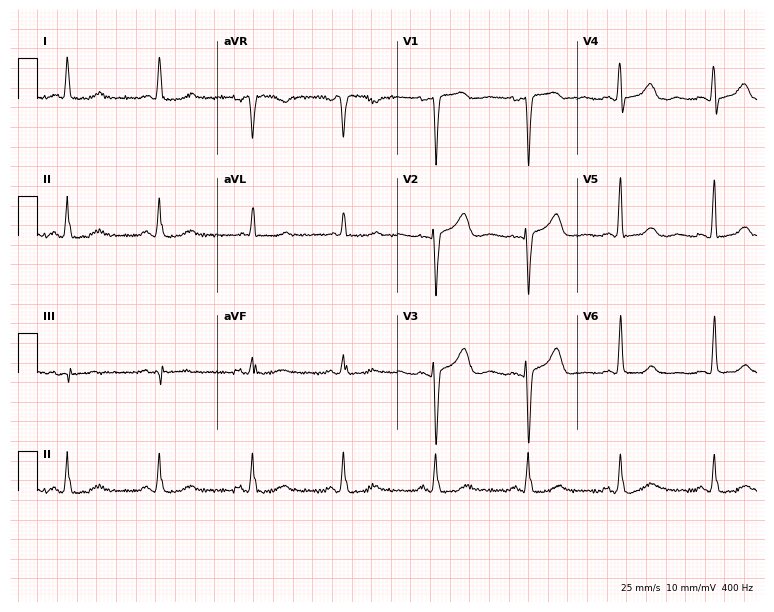
Standard 12-lead ECG recorded from a woman, 68 years old (7.3-second recording at 400 Hz). None of these six findings is recorded: first-degree AV block, right bundle branch block, left bundle branch block, sinus bradycardia, atrial fibrillation, sinus tachycardia.